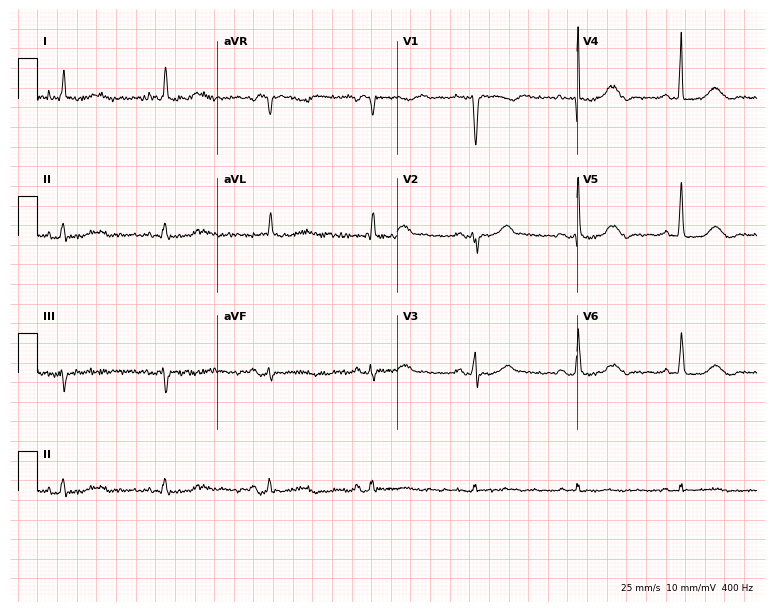
Electrocardiogram, a female, 81 years old. Overall reading on record: normal ECG.